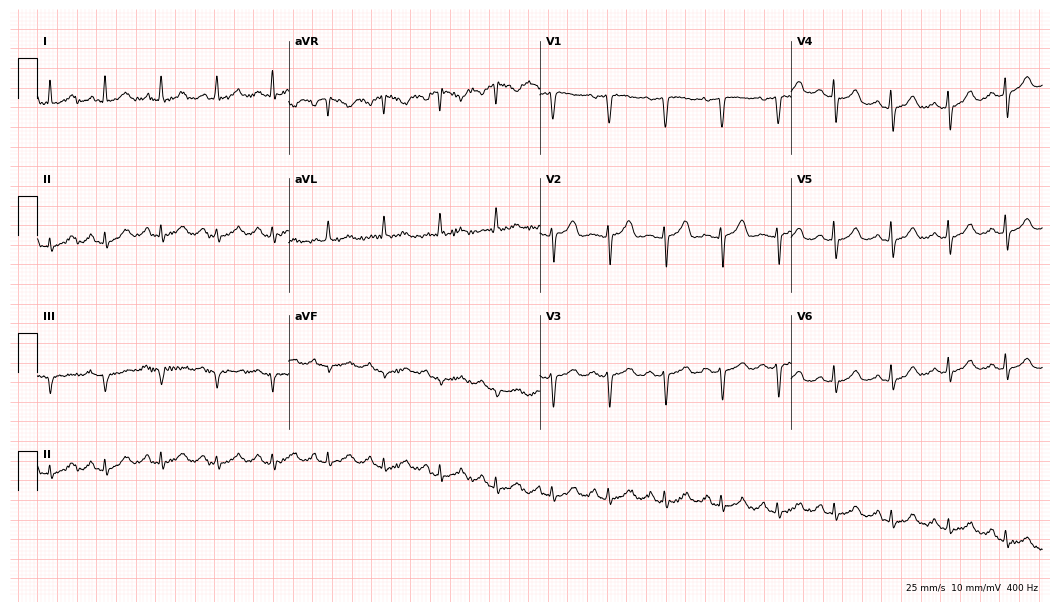
Electrocardiogram, a 69-year-old female patient. Of the six screened findings (first-degree AV block, right bundle branch block, left bundle branch block, sinus bradycardia, atrial fibrillation, sinus tachycardia), none is recorded.